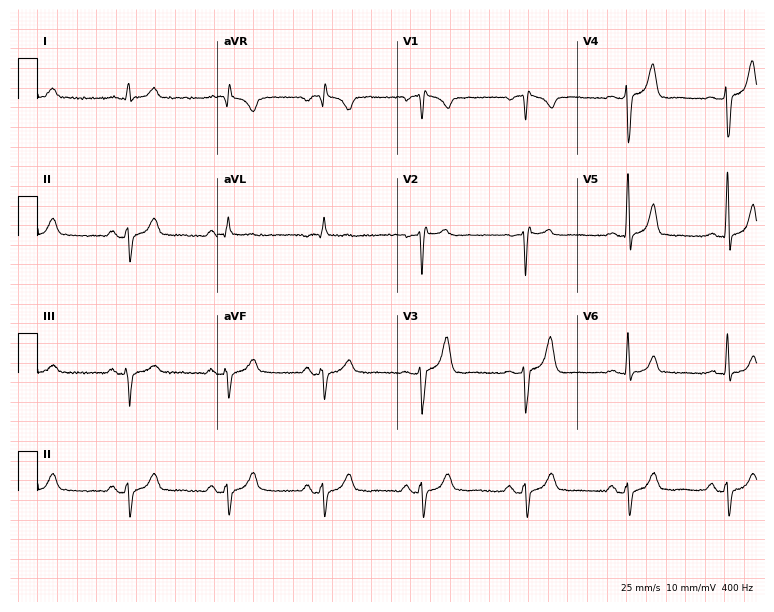
Resting 12-lead electrocardiogram. Patient: a 55-year-old man. None of these six findings is recorded: first-degree AV block, right bundle branch block, left bundle branch block, sinus bradycardia, atrial fibrillation, sinus tachycardia.